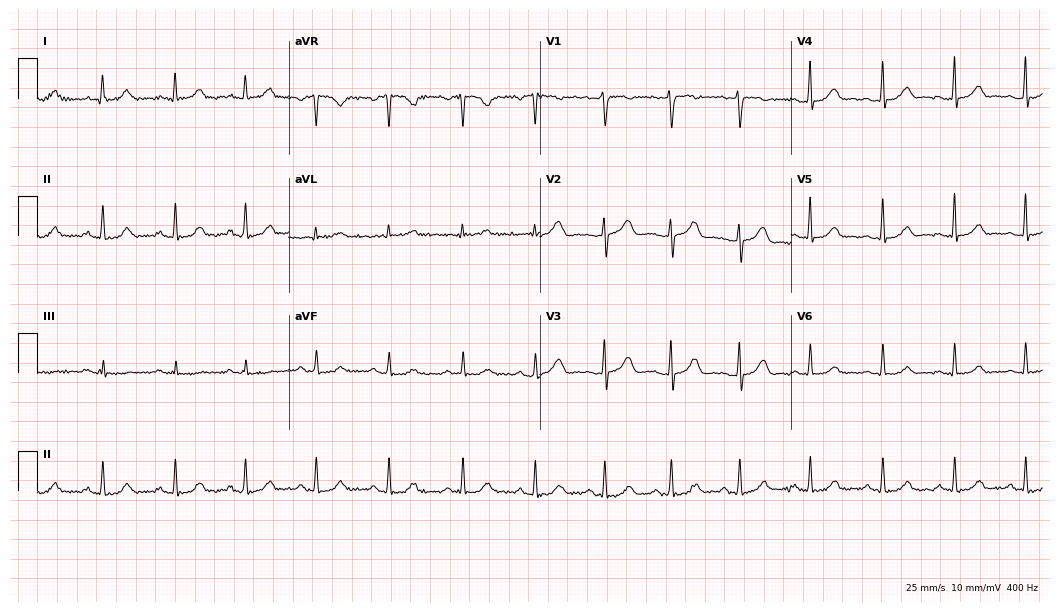
Standard 12-lead ECG recorded from a female, 25 years old (10.2-second recording at 400 Hz). Read as a normal ECG.